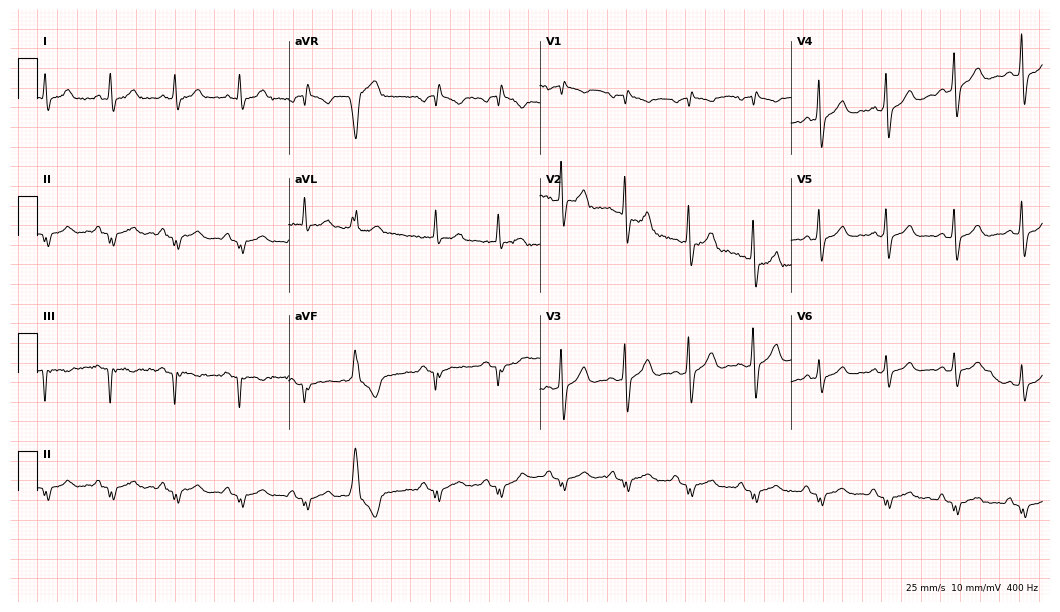
Electrocardiogram, a 75-year-old male. Of the six screened findings (first-degree AV block, right bundle branch block, left bundle branch block, sinus bradycardia, atrial fibrillation, sinus tachycardia), none is recorded. Other findings, if any, are not listed.